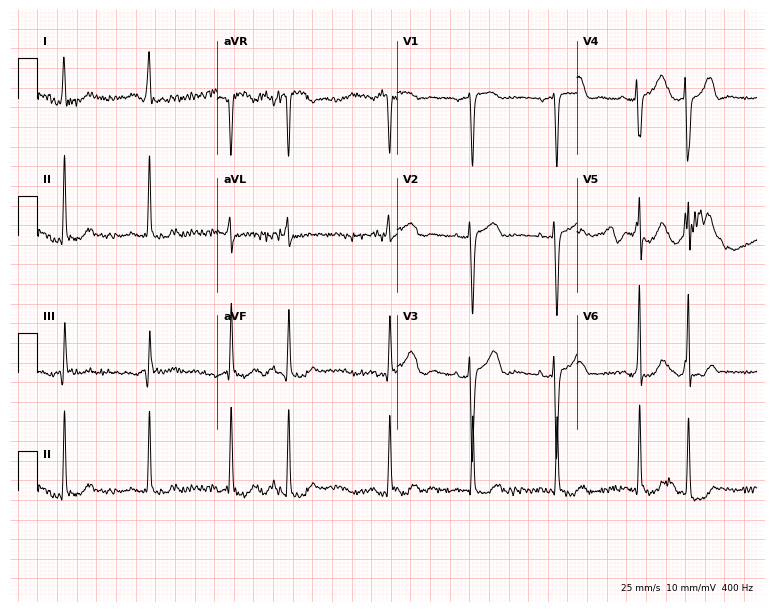
12-lead ECG (7.3-second recording at 400 Hz) from a female, 77 years old. Screened for six findings — first-degree AV block, right bundle branch block (RBBB), left bundle branch block (LBBB), sinus bradycardia, atrial fibrillation (AF), sinus tachycardia — none is recorded. Findings outside these six are not listed.